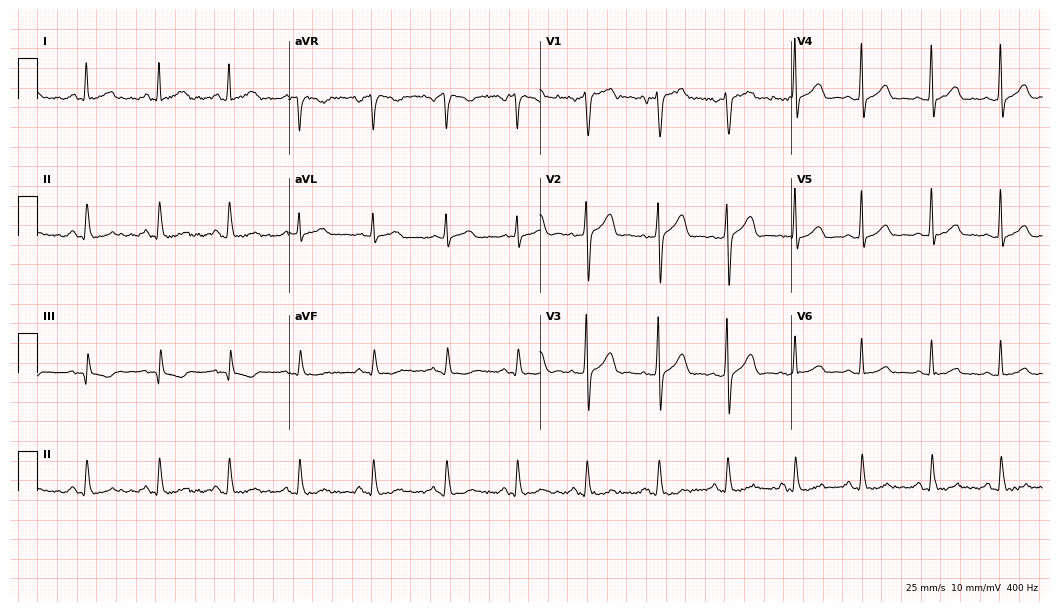
12-lead ECG from a 42-year-old female patient (10.2-second recording at 400 Hz). Recorded interpretation: within normal limits.